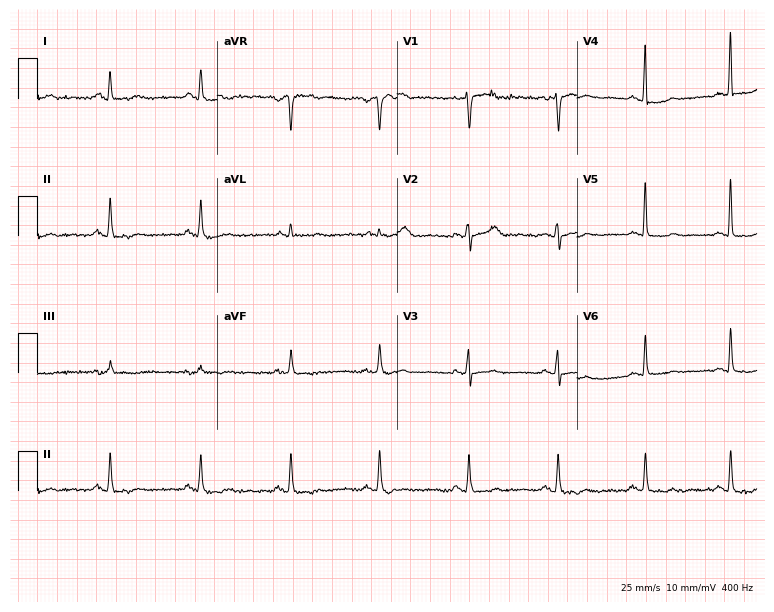
Resting 12-lead electrocardiogram (7.3-second recording at 400 Hz). Patient: a female, 67 years old. None of these six findings is recorded: first-degree AV block, right bundle branch block, left bundle branch block, sinus bradycardia, atrial fibrillation, sinus tachycardia. Other findings, if any, are not listed.